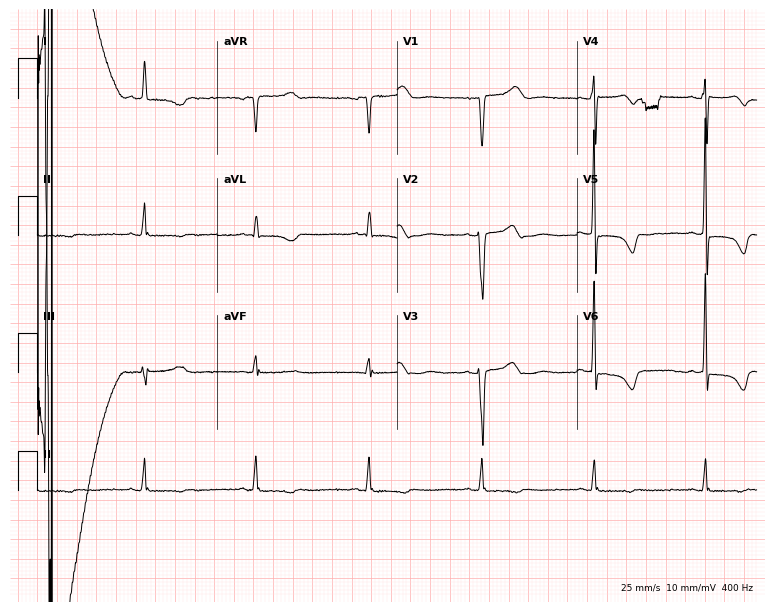
12-lead ECG from an 84-year-old woman (7.3-second recording at 400 Hz). No first-degree AV block, right bundle branch block, left bundle branch block, sinus bradycardia, atrial fibrillation or sinus tachycardia recorded for this tracing. Other findings, if any, are not listed.